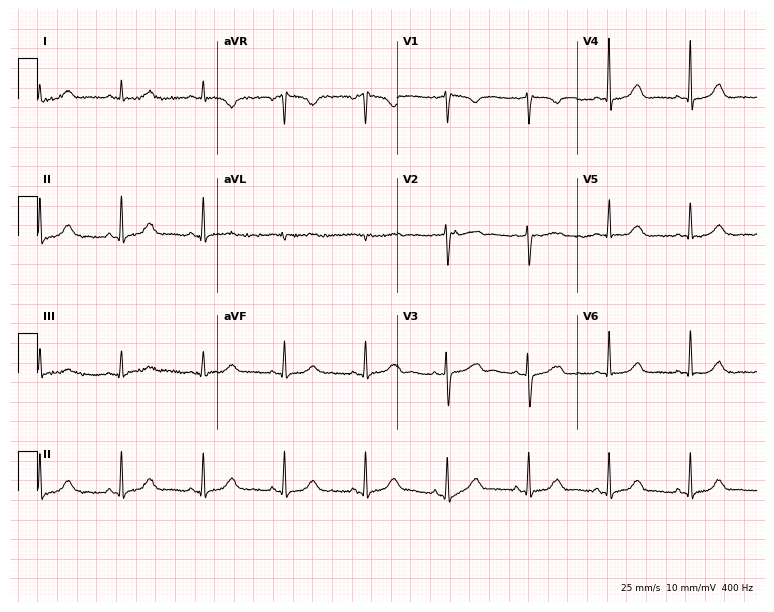
12-lead ECG from a male patient, 74 years old. Labelled as a normal ECG.